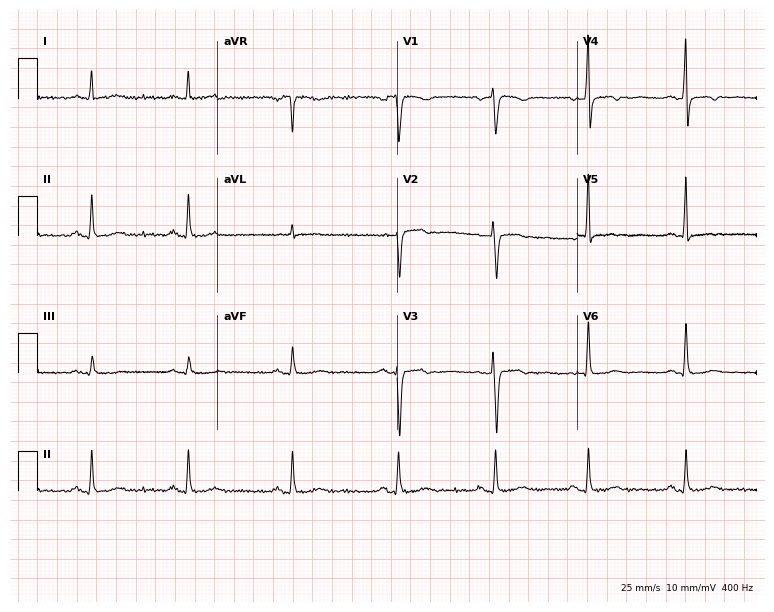
Resting 12-lead electrocardiogram (7.3-second recording at 400 Hz). Patient: a 59-year-old female. None of these six findings is recorded: first-degree AV block, right bundle branch block, left bundle branch block, sinus bradycardia, atrial fibrillation, sinus tachycardia. Only these six findings were labelled.